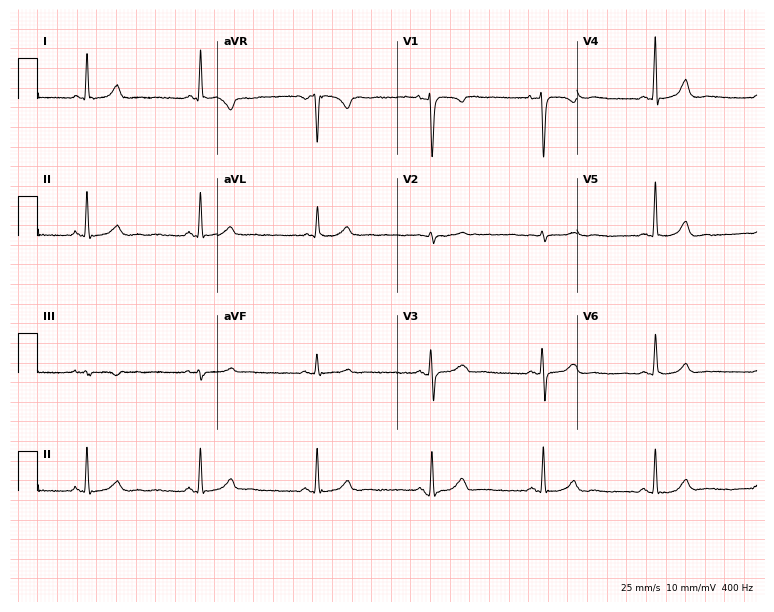
ECG — a 64-year-old female. Labelled as a normal ECG.